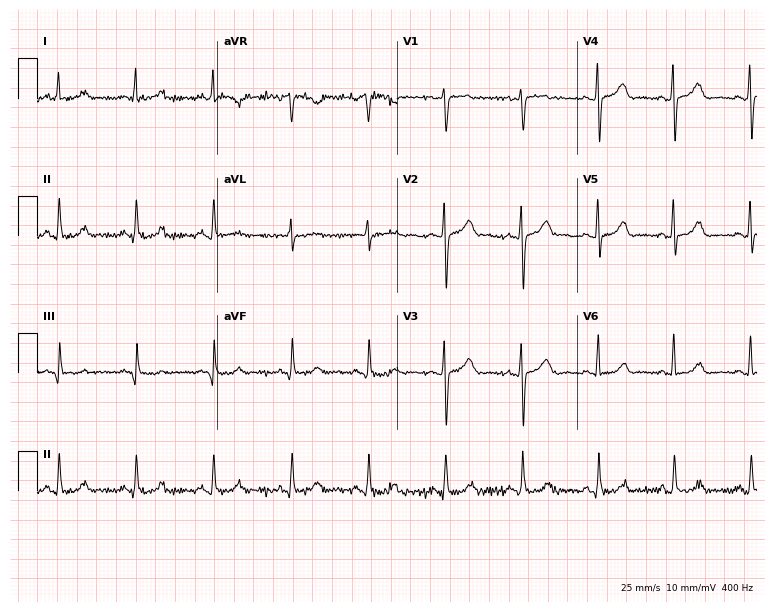
12-lead ECG from a 36-year-old woman (7.3-second recording at 400 Hz). No first-degree AV block, right bundle branch block, left bundle branch block, sinus bradycardia, atrial fibrillation or sinus tachycardia recorded for this tracing. Other findings, if any, are not listed.